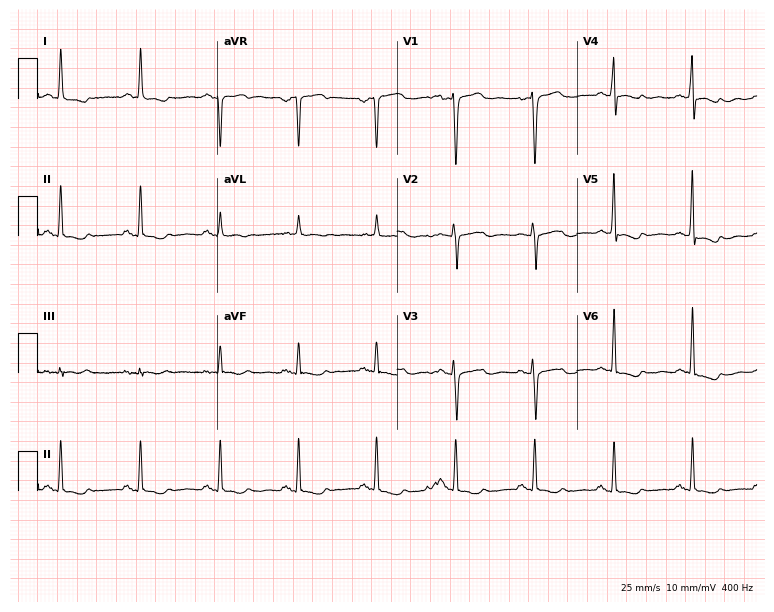
ECG (7.3-second recording at 400 Hz) — a 54-year-old female. Screened for six findings — first-degree AV block, right bundle branch block (RBBB), left bundle branch block (LBBB), sinus bradycardia, atrial fibrillation (AF), sinus tachycardia — none is recorded.